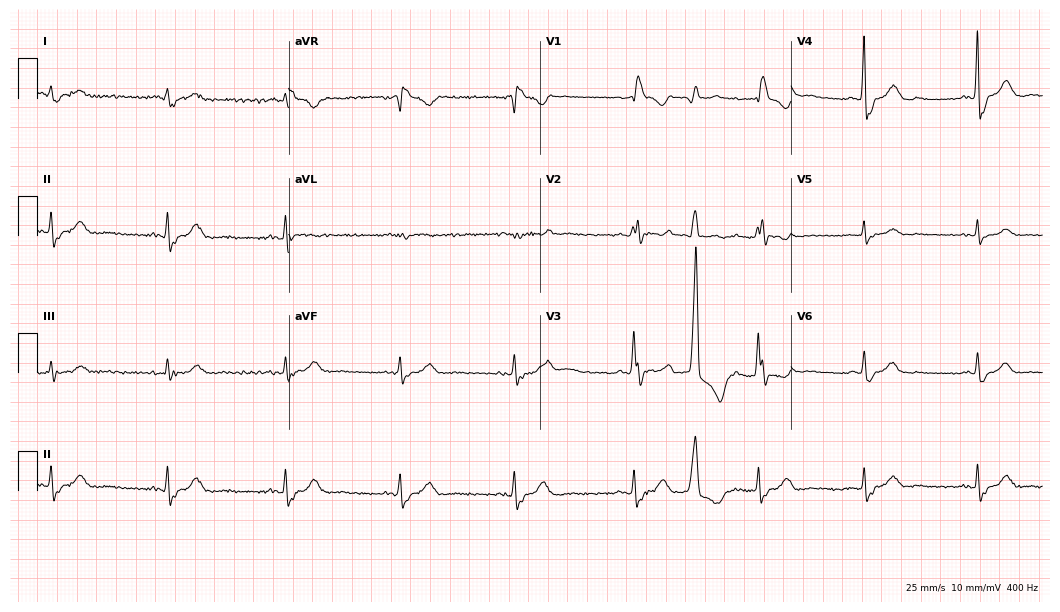
12-lead ECG from a male, 79 years old. Findings include right bundle branch block.